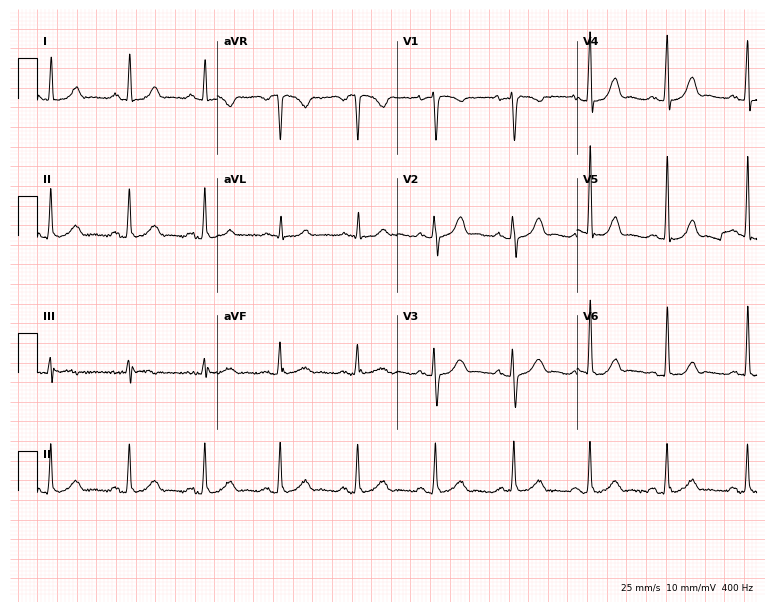
12-lead ECG from a 31-year-old woman. No first-degree AV block, right bundle branch block (RBBB), left bundle branch block (LBBB), sinus bradycardia, atrial fibrillation (AF) or sinus tachycardia recorded for this tracing.